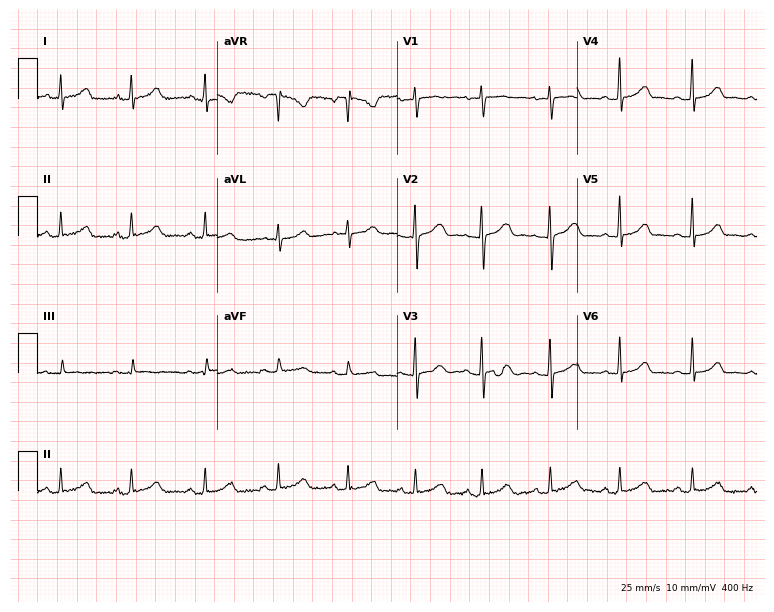
Standard 12-lead ECG recorded from a woman, 25 years old. None of these six findings is recorded: first-degree AV block, right bundle branch block, left bundle branch block, sinus bradycardia, atrial fibrillation, sinus tachycardia.